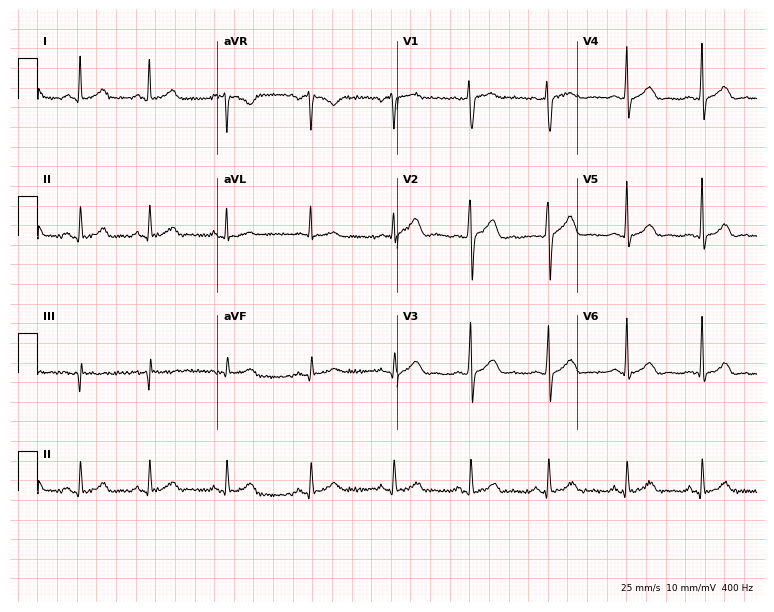
Standard 12-lead ECG recorded from a 33-year-old male patient. None of these six findings is recorded: first-degree AV block, right bundle branch block, left bundle branch block, sinus bradycardia, atrial fibrillation, sinus tachycardia. Other findings, if any, are not listed.